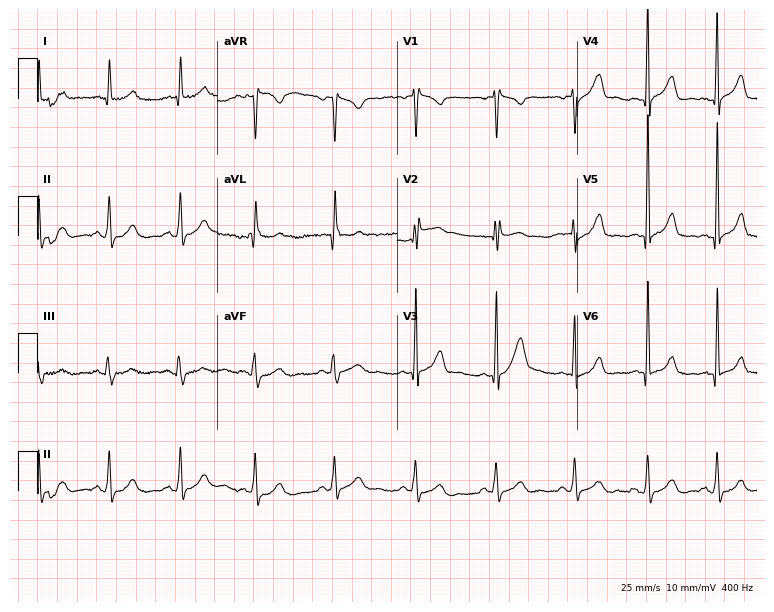
Electrocardiogram, a 46-year-old man. Of the six screened findings (first-degree AV block, right bundle branch block (RBBB), left bundle branch block (LBBB), sinus bradycardia, atrial fibrillation (AF), sinus tachycardia), none is recorded.